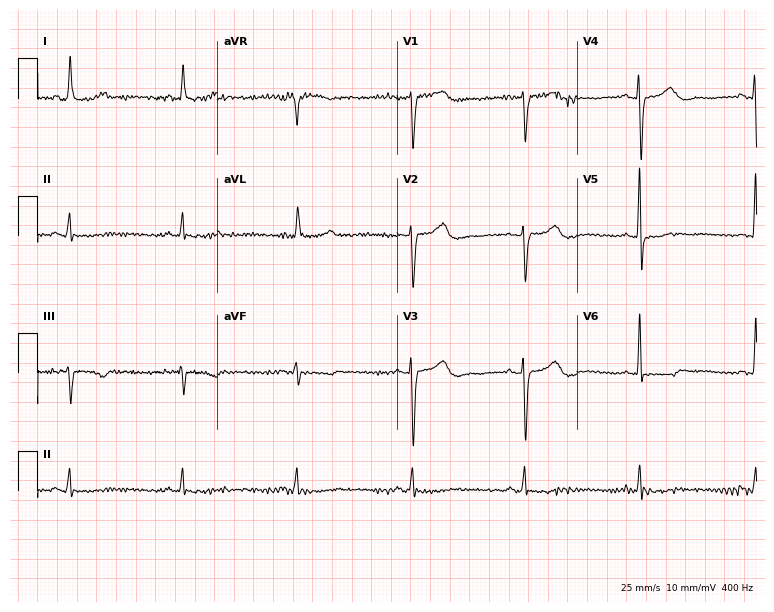
12-lead ECG from a 60-year-old female. Screened for six findings — first-degree AV block, right bundle branch block (RBBB), left bundle branch block (LBBB), sinus bradycardia, atrial fibrillation (AF), sinus tachycardia — none is recorded. Findings outside these six are not listed.